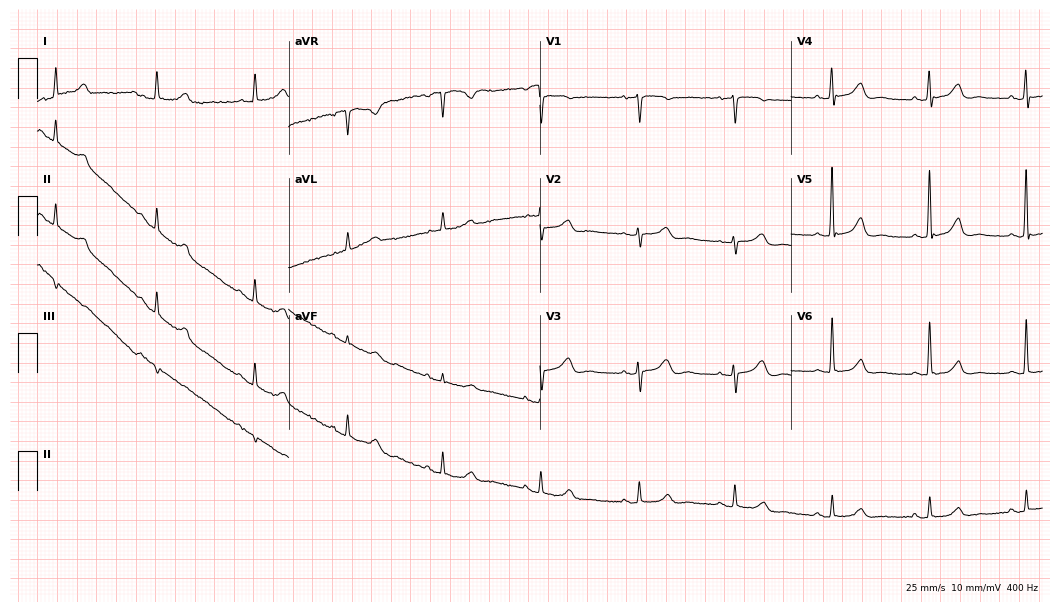
Standard 12-lead ECG recorded from an 85-year-old woman. Read as a normal ECG.